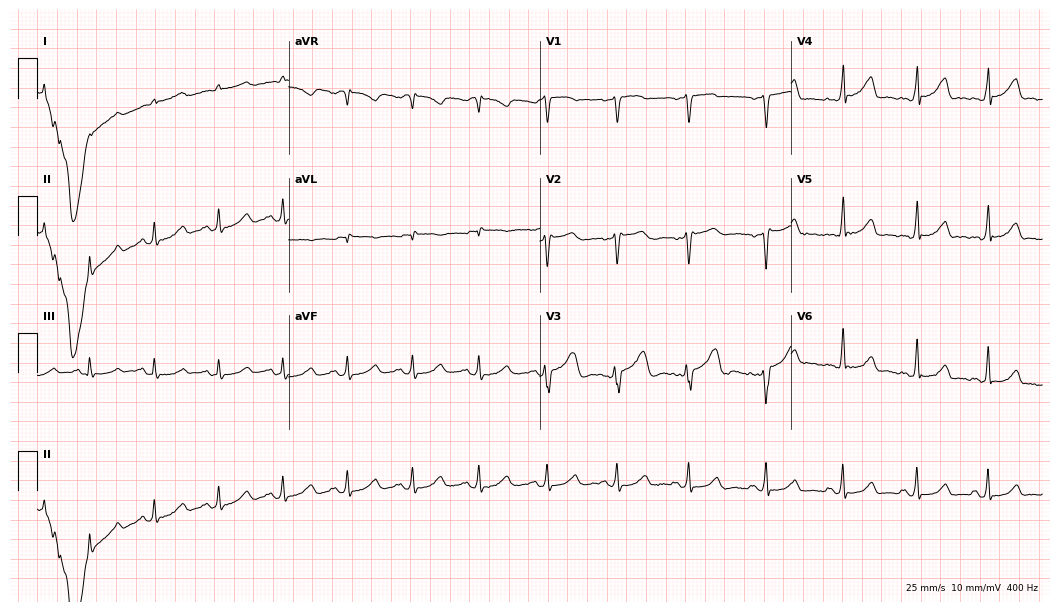
12-lead ECG from a man, 31 years old. Recorded interpretation: within normal limits.